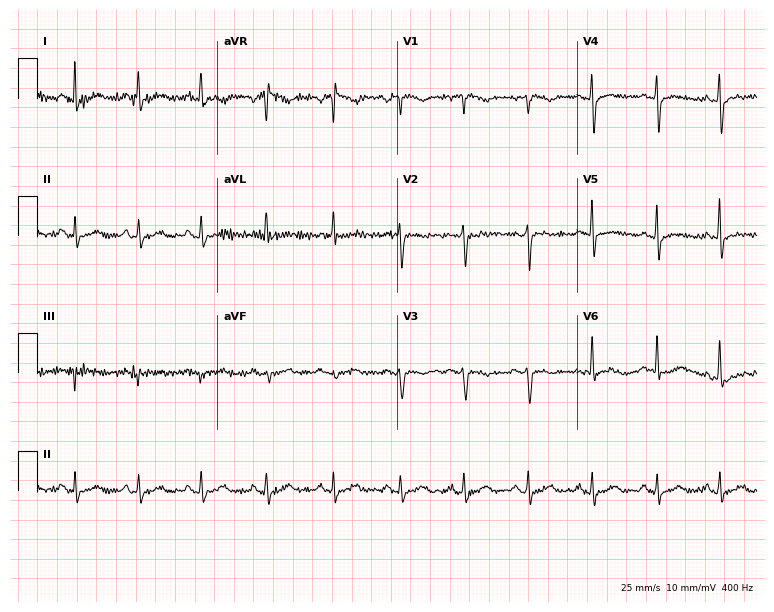
12-lead ECG from a female, 48 years old. Screened for six findings — first-degree AV block, right bundle branch block, left bundle branch block, sinus bradycardia, atrial fibrillation, sinus tachycardia — none is recorded.